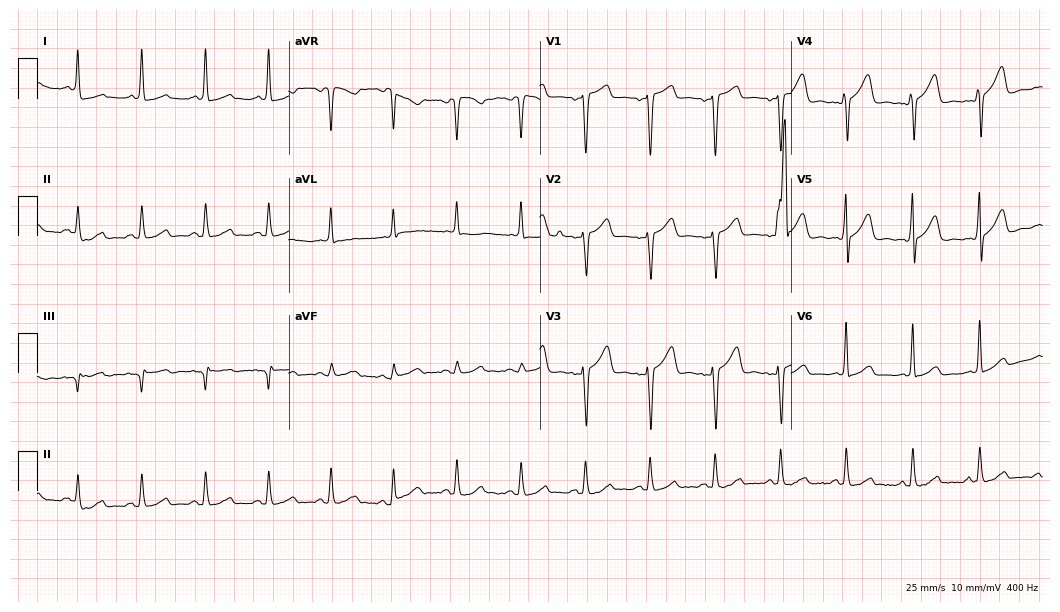
Electrocardiogram, a man, 45 years old. Of the six screened findings (first-degree AV block, right bundle branch block, left bundle branch block, sinus bradycardia, atrial fibrillation, sinus tachycardia), none is recorded. Only these six findings were labelled.